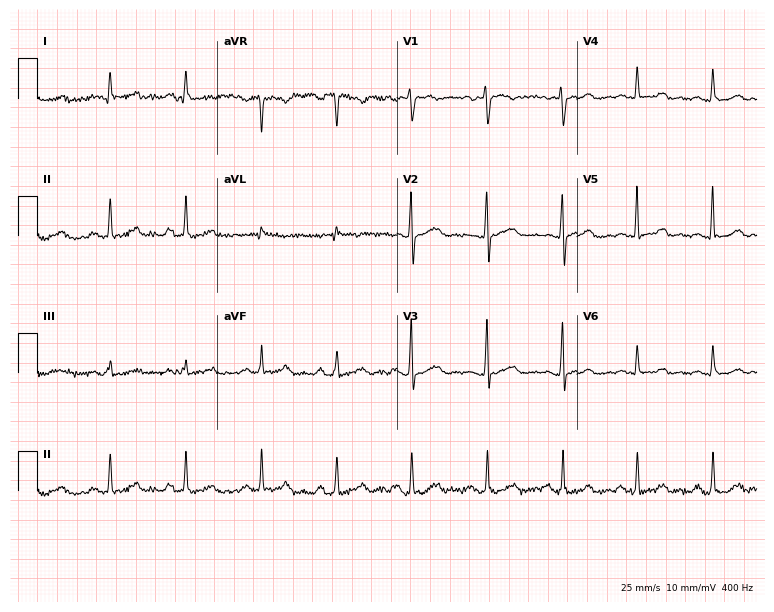
Resting 12-lead electrocardiogram (7.3-second recording at 400 Hz). Patient: a female, 58 years old. Read as a normal ECG.